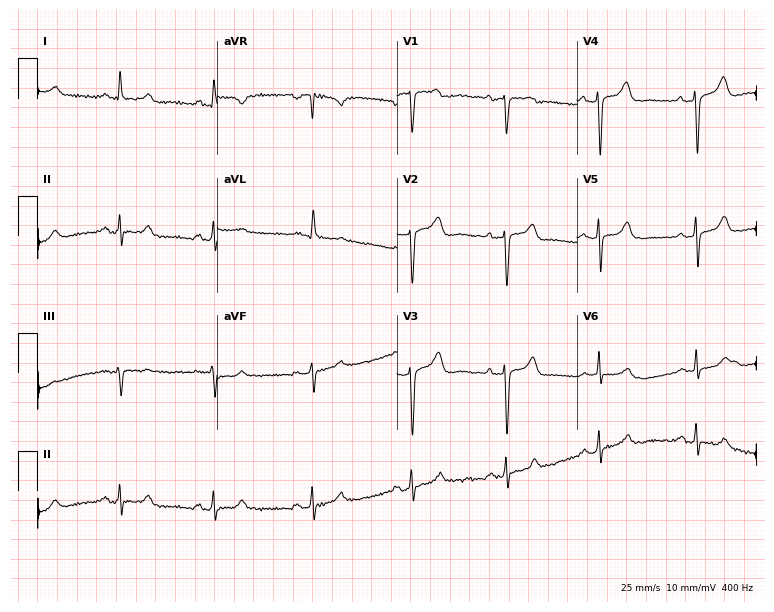
Electrocardiogram, a 64-year-old female patient. Of the six screened findings (first-degree AV block, right bundle branch block (RBBB), left bundle branch block (LBBB), sinus bradycardia, atrial fibrillation (AF), sinus tachycardia), none is recorded. Findings outside these six are not listed.